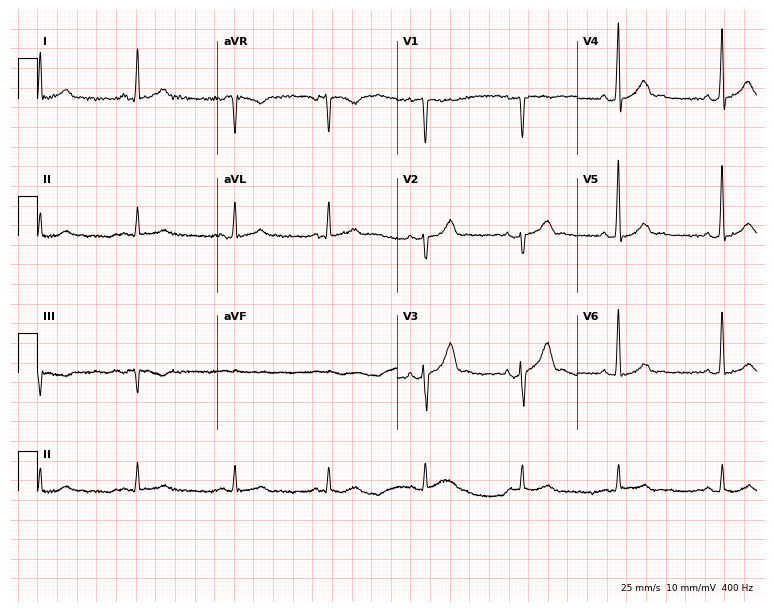
Resting 12-lead electrocardiogram. Patient: a male, 40 years old. None of these six findings is recorded: first-degree AV block, right bundle branch block (RBBB), left bundle branch block (LBBB), sinus bradycardia, atrial fibrillation (AF), sinus tachycardia.